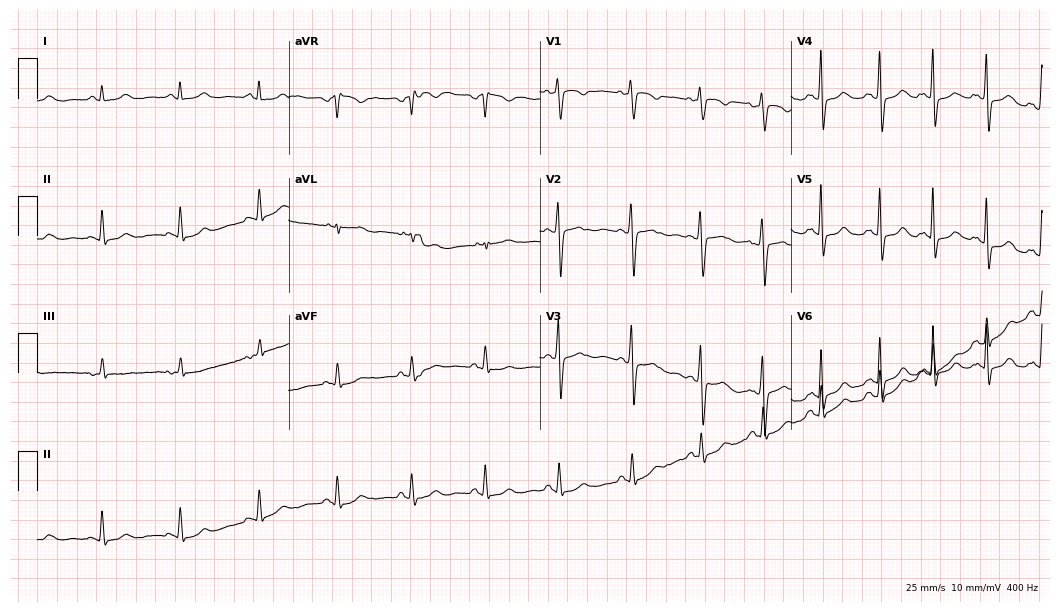
12-lead ECG (10.2-second recording at 400 Hz) from a 34-year-old female patient. Screened for six findings — first-degree AV block, right bundle branch block, left bundle branch block, sinus bradycardia, atrial fibrillation, sinus tachycardia — none is recorded.